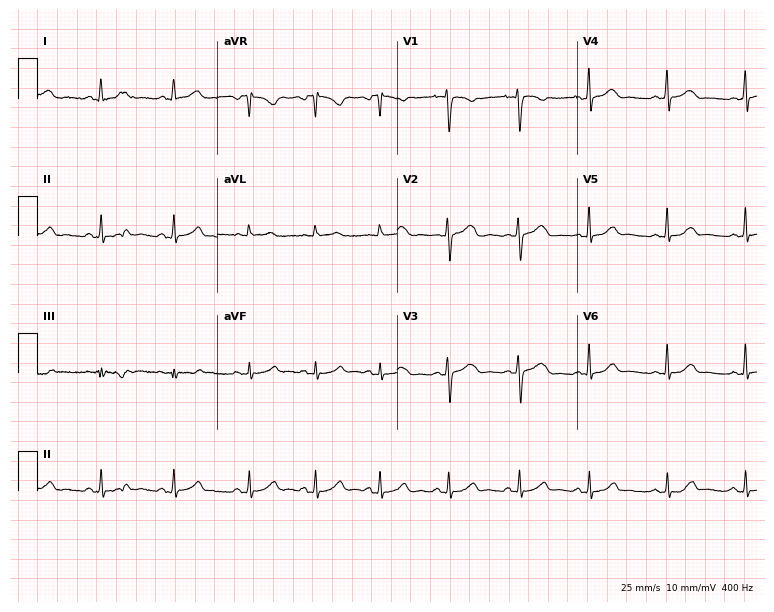
12-lead ECG (7.3-second recording at 400 Hz) from a female patient, 21 years old. Screened for six findings — first-degree AV block, right bundle branch block, left bundle branch block, sinus bradycardia, atrial fibrillation, sinus tachycardia — none is recorded. Only these six findings were labelled.